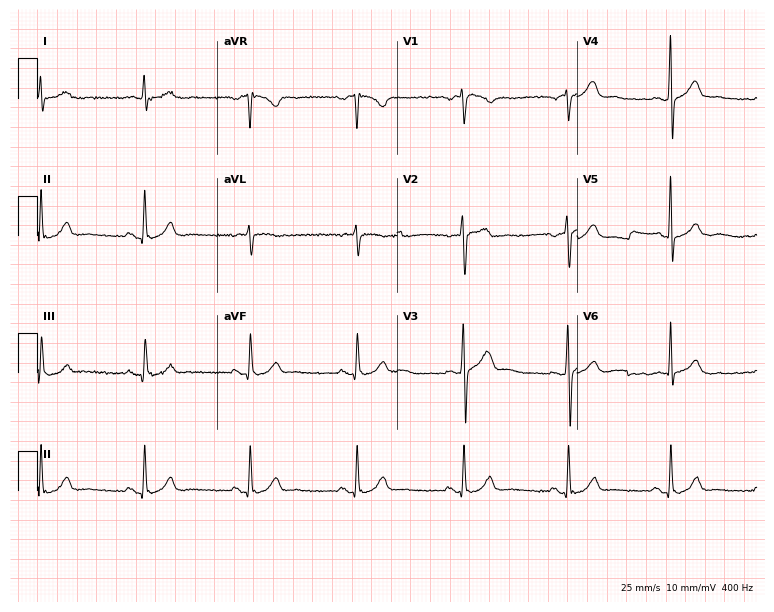
12-lead ECG (7.3-second recording at 400 Hz) from a 61-year-old male. Labelled as a normal ECG.